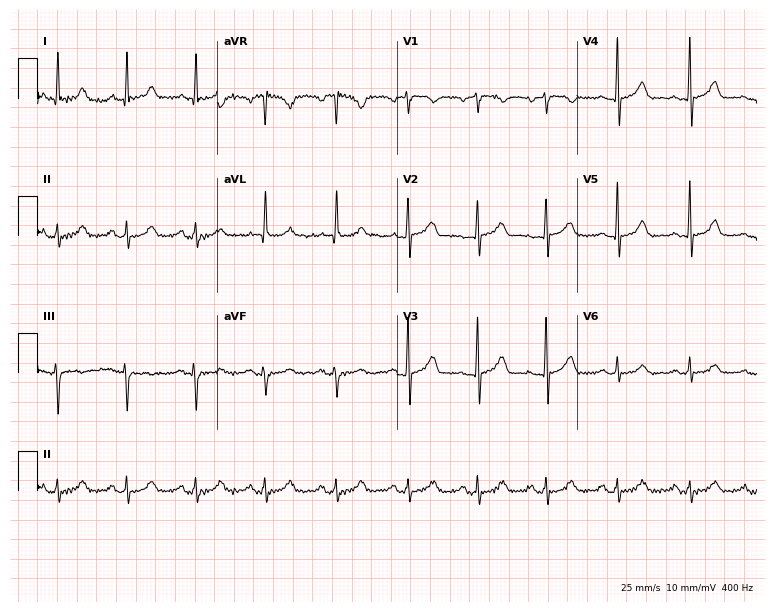
Standard 12-lead ECG recorded from a 62-year-old female patient (7.3-second recording at 400 Hz). Read as a normal ECG.